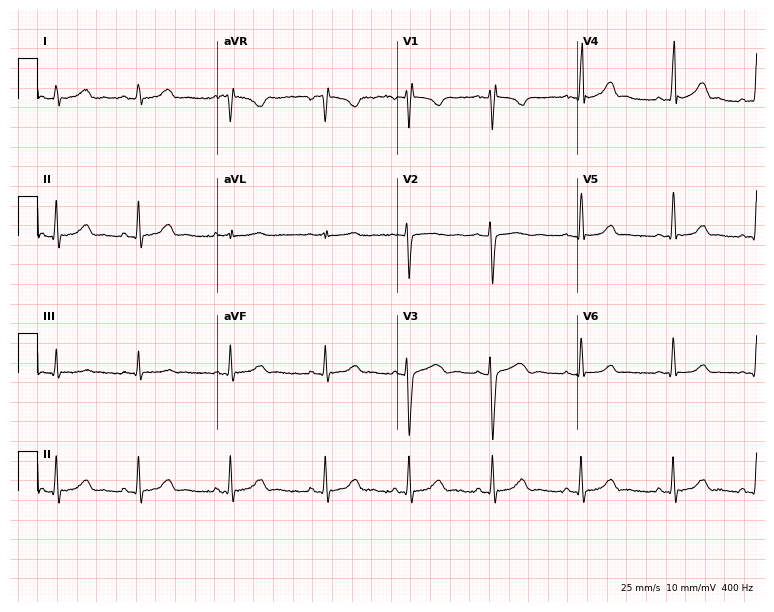
Resting 12-lead electrocardiogram. Patient: a 19-year-old woman. Read as a normal ECG.